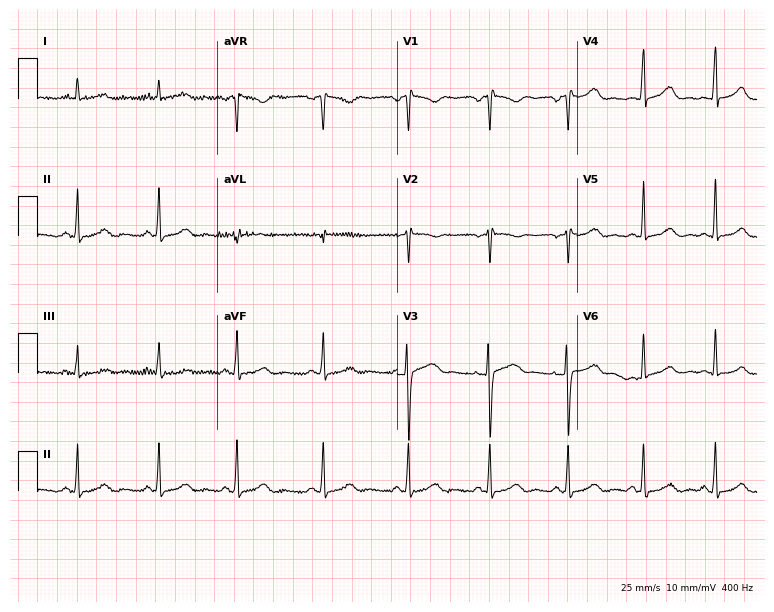
12-lead ECG from a 26-year-old female. Labelled as a normal ECG.